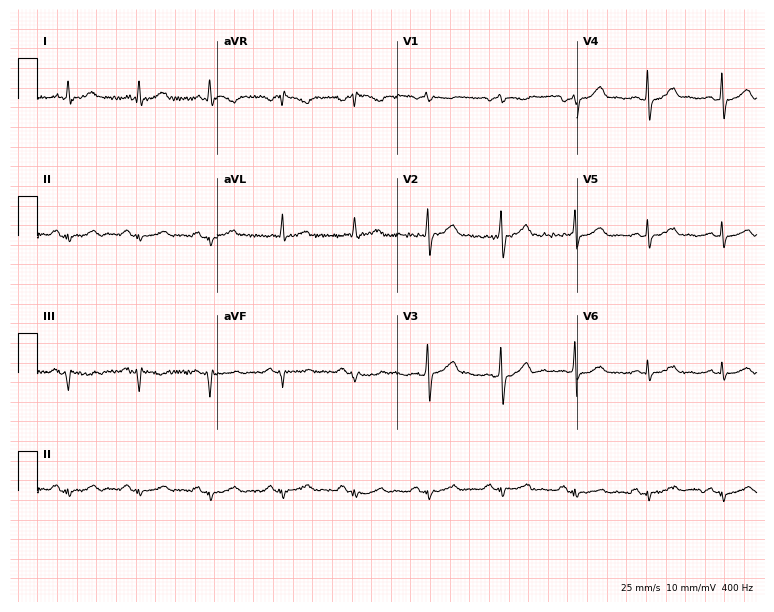
Electrocardiogram (7.3-second recording at 400 Hz), a male patient, 59 years old. Of the six screened findings (first-degree AV block, right bundle branch block (RBBB), left bundle branch block (LBBB), sinus bradycardia, atrial fibrillation (AF), sinus tachycardia), none is recorded.